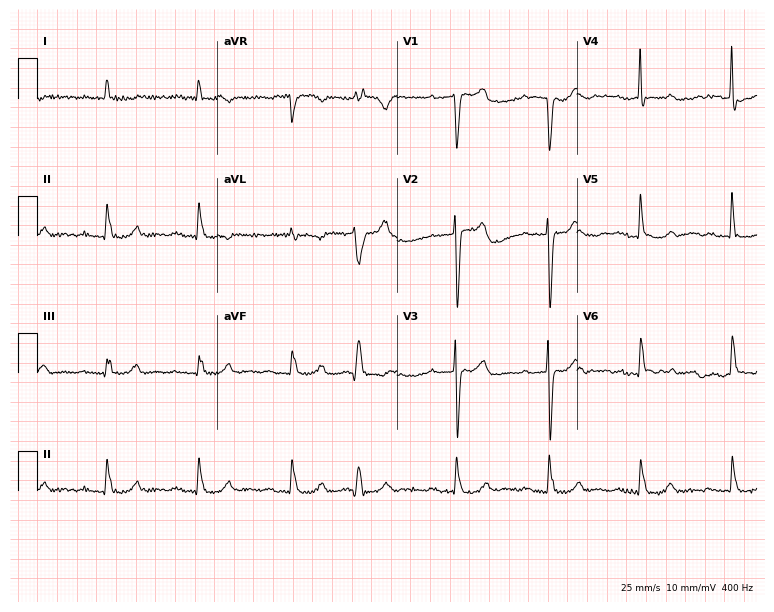
ECG — a 76-year-old man. Findings include first-degree AV block, atrial fibrillation (AF).